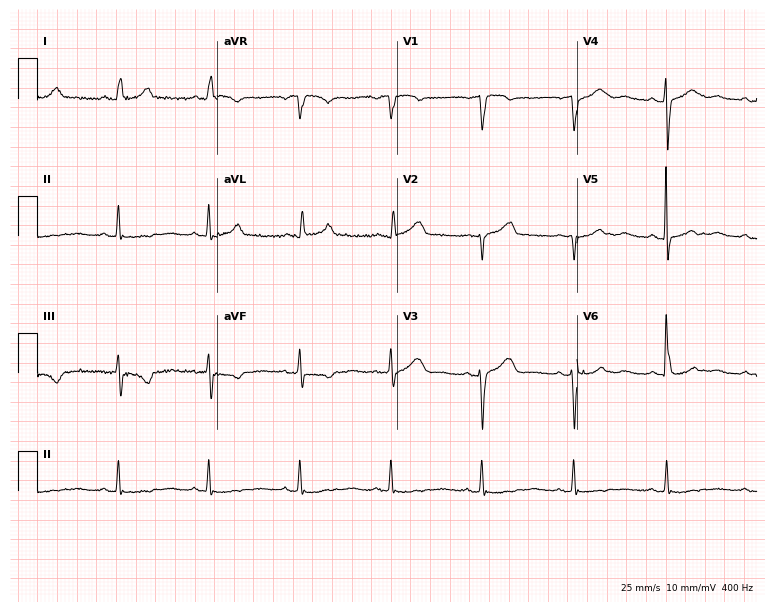
12-lead ECG from a 68-year-old woman (7.3-second recording at 400 Hz). No first-degree AV block, right bundle branch block, left bundle branch block, sinus bradycardia, atrial fibrillation or sinus tachycardia recorded for this tracing. Findings outside these six are not listed.